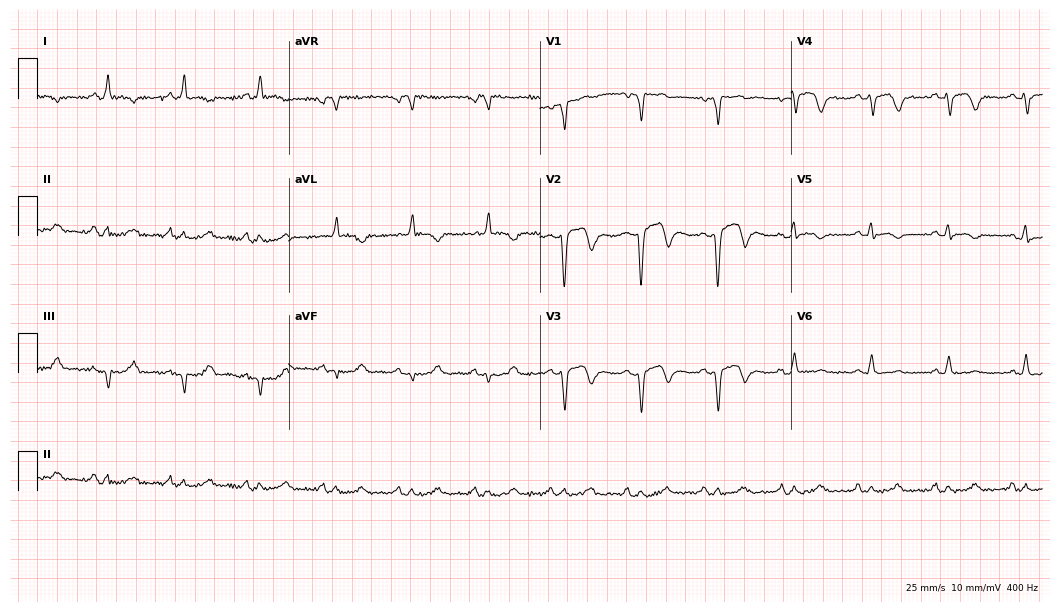
Standard 12-lead ECG recorded from a 79-year-old man (10.2-second recording at 400 Hz). Read as a normal ECG.